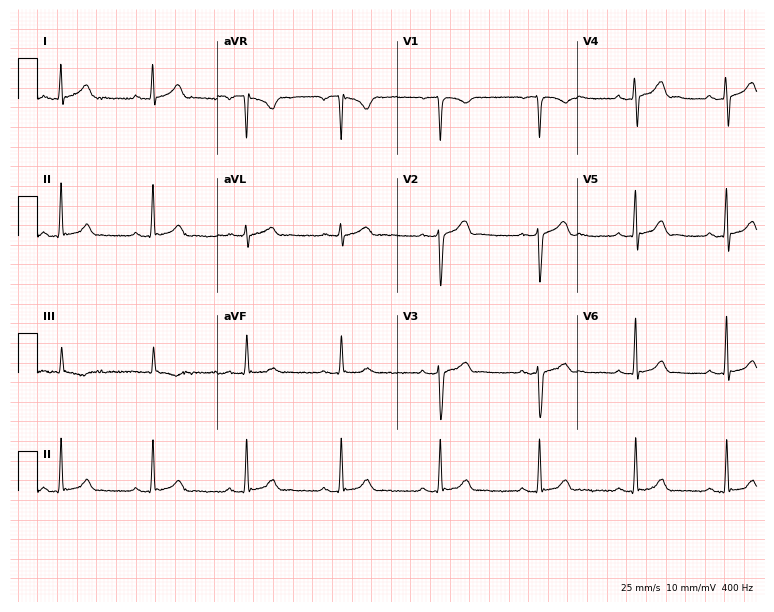
12-lead ECG from a male, 34 years old. Recorded interpretation: within normal limits.